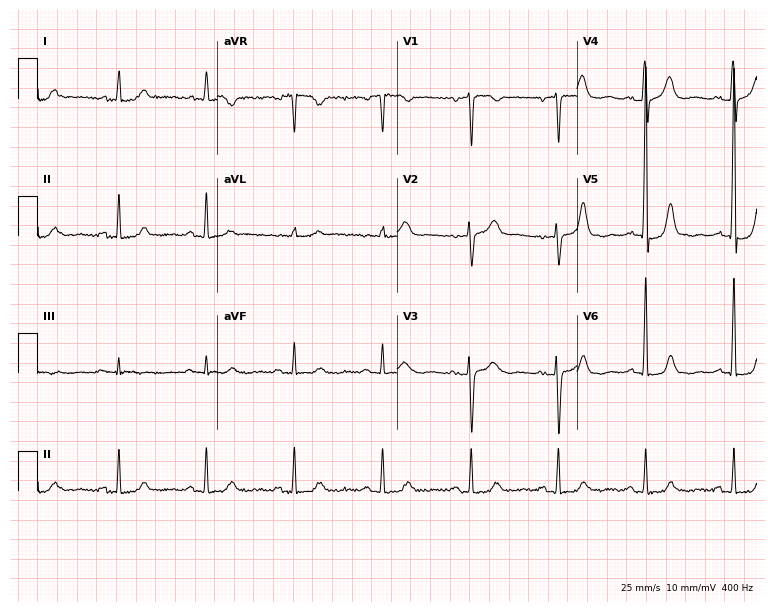
12-lead ECG from a female, 57 years old (7.3-second recording at 400 Hz). Recorded interpretation: within normal limits.